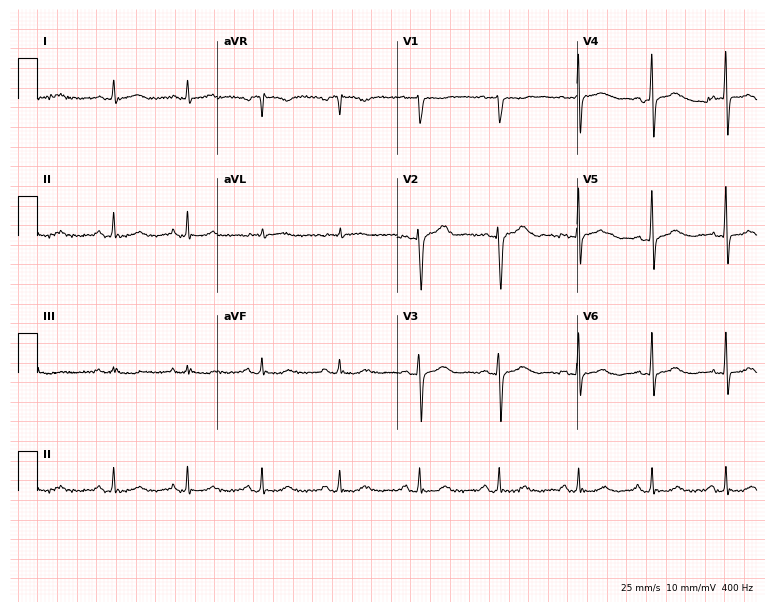
ECG — a woman, 58 years old. Screened for six findings — first-degree AV block, right bundle branch block (RBBB), left bundle branch block (LBBB), sinus bradycardia, atrial fibrillation (AF), sinus tachycardia — none is recorded.